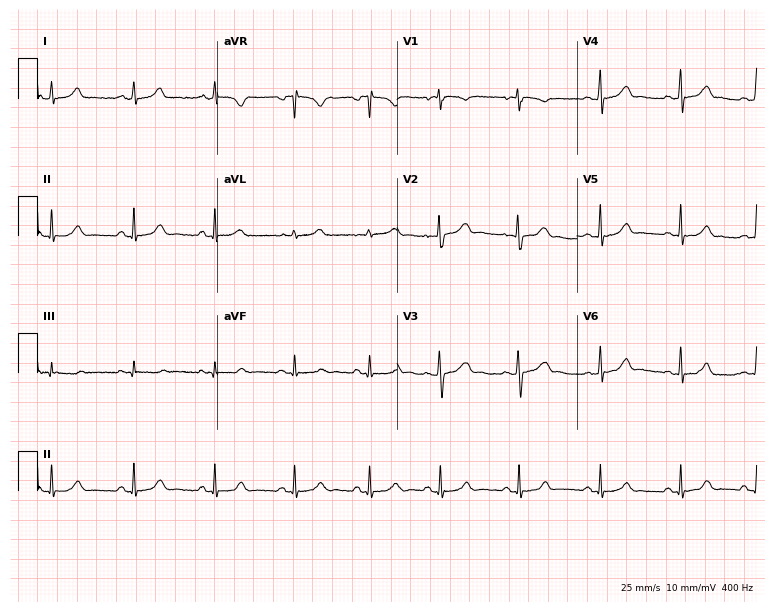
Resting 12-lead electrocardiogram. Patient: a woman, 29 years old. Read as a normal ECG.